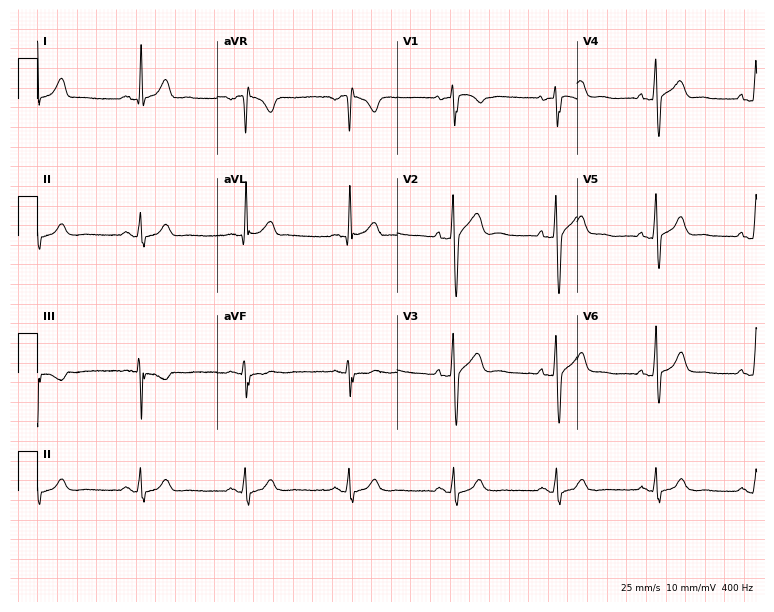
Electrocardiogram (7.3-second recording at 400 Hz), a man, 37 years old. Overall reading on record: normal ECG.